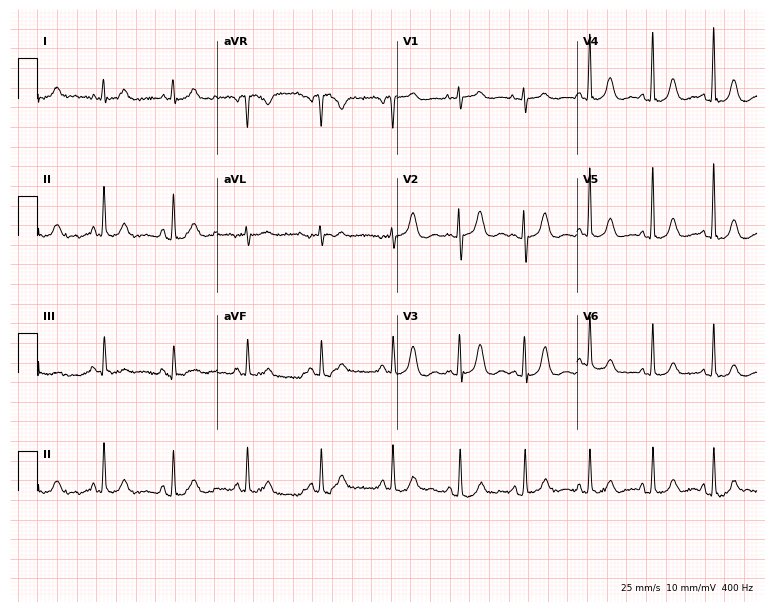
12-lead ECG from a female, 69 years old. Screened for six findings — first-degree AV block, right bundle branch block (RBBB), left bundle branch block (LBBB), sinus bradycardia, atrial fibrillation (AF), sinus tachycardia — none is recorded.